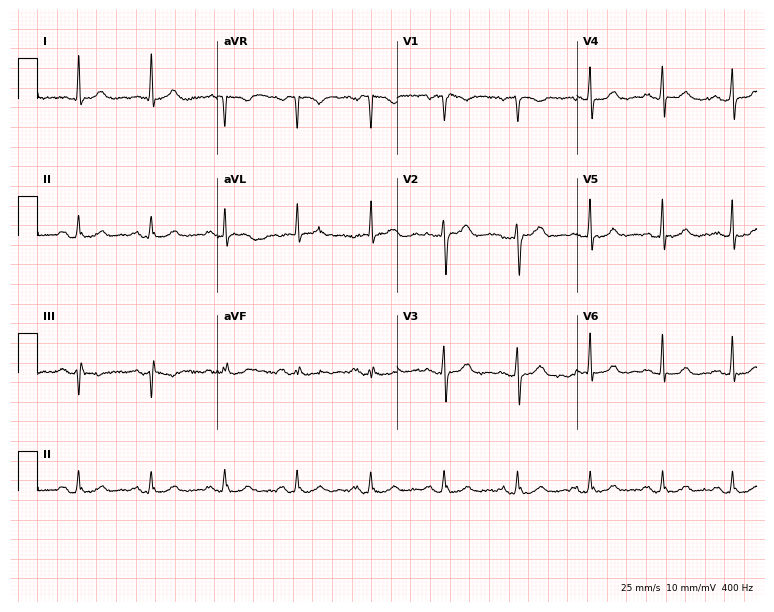
Resting 12-lead electrocardiogram (7.3-second recording at 400 Hz). Patient: a male, 82 years old. Read as a normal ECG.